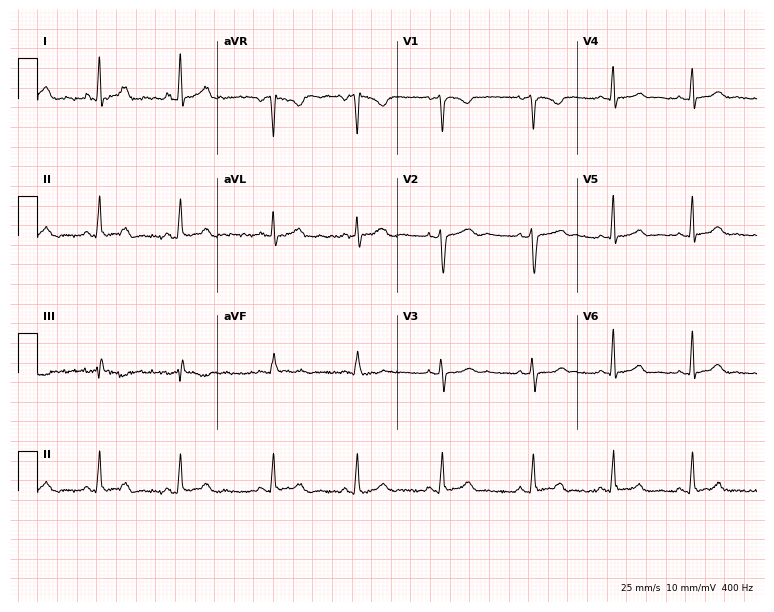
Resting 12-lead electrocardiogram. Patient: a female, 35 years old. Read as a normal ECG.